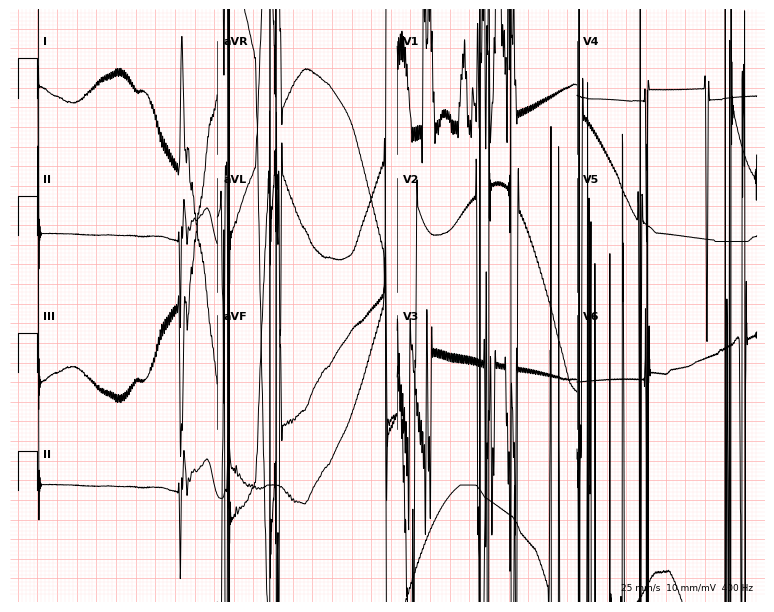
12-lead ECG from a 72-year-old female patient. Screened for six findings — first-degree AV block, right bundle branch block (RBBB), left bundle branch block (LBBB), sinus bradycardia, atrial fibrillation (AF), sinus tachycardia — none is recorded.